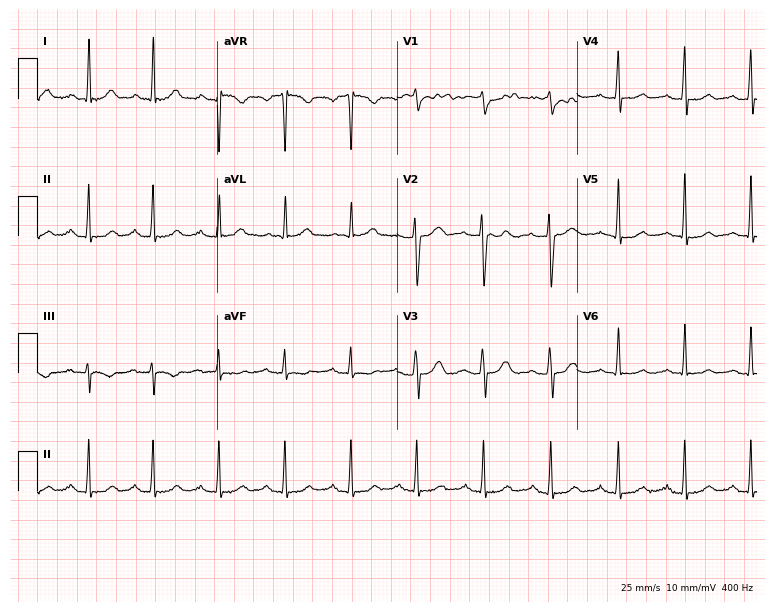
Standard 12-lead ECG recorded from a 43-year-old female patient. None of these six findings is recorded: first-degree AV block, right bundle branch block, left bundle branch block, sinus bradycardia, atrial fibrillation, sinus tachycardia. Other findings, if any, are not listed.